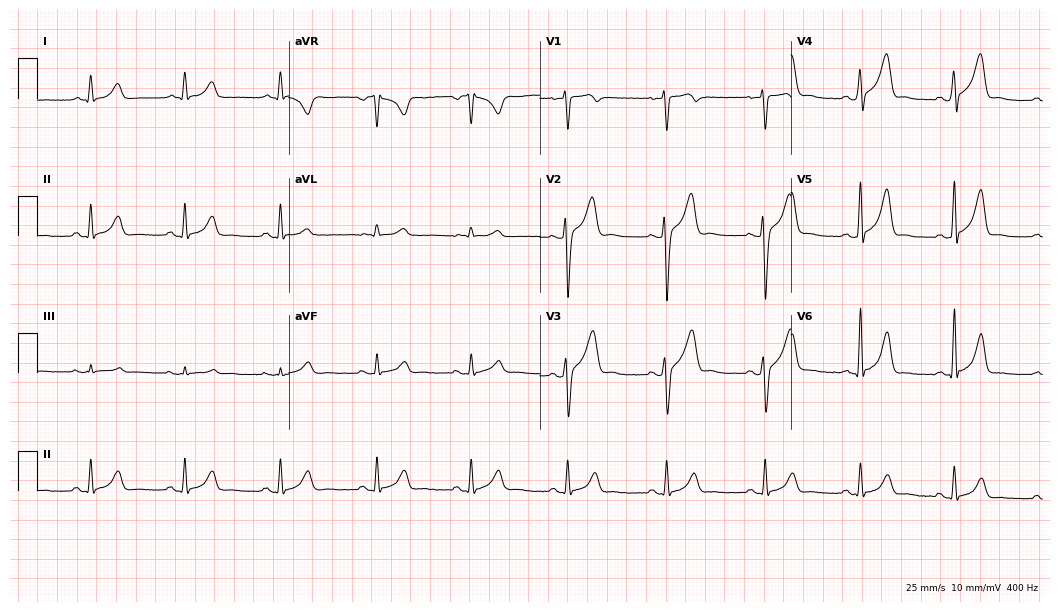
Electrocardiogram (10.2-second recording at 400 Hz), a man, 35 years old. Overall reading on record: normal ECG.